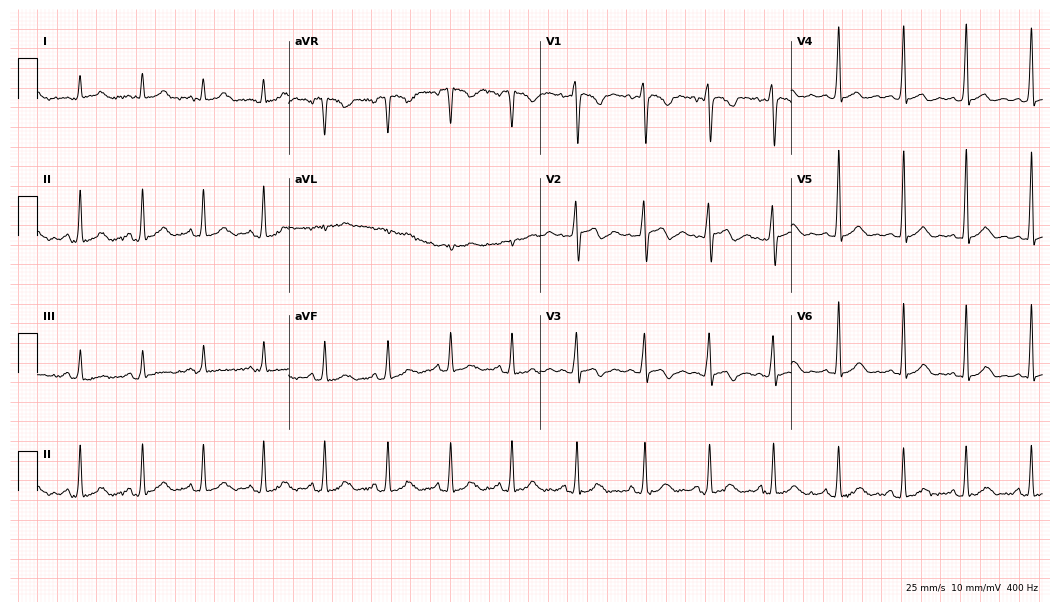
ECG (10.2-second recording at 400 Hz) — a 27-year-old female. Labelled as a normal ECG.